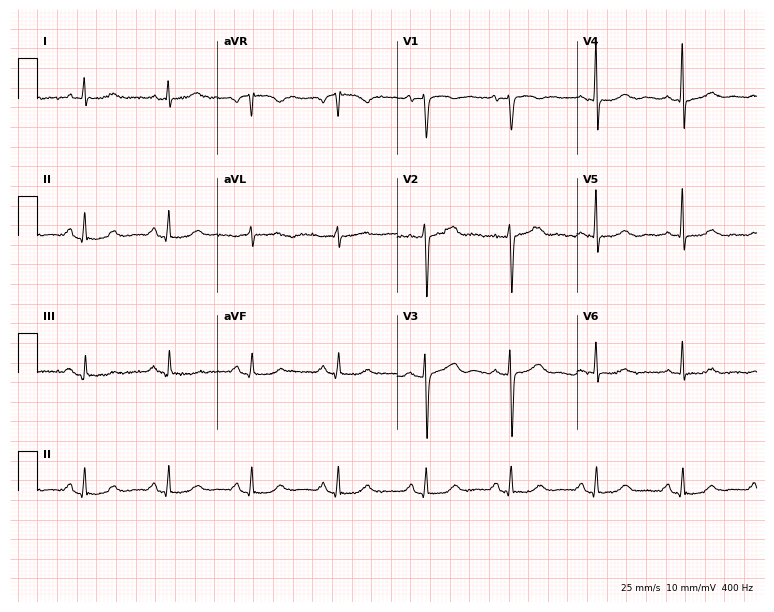
12-lead ECG from a 65-year-old female patient (7.3-second recording at 400 Hz). Recorded interpretation: within normal limits.